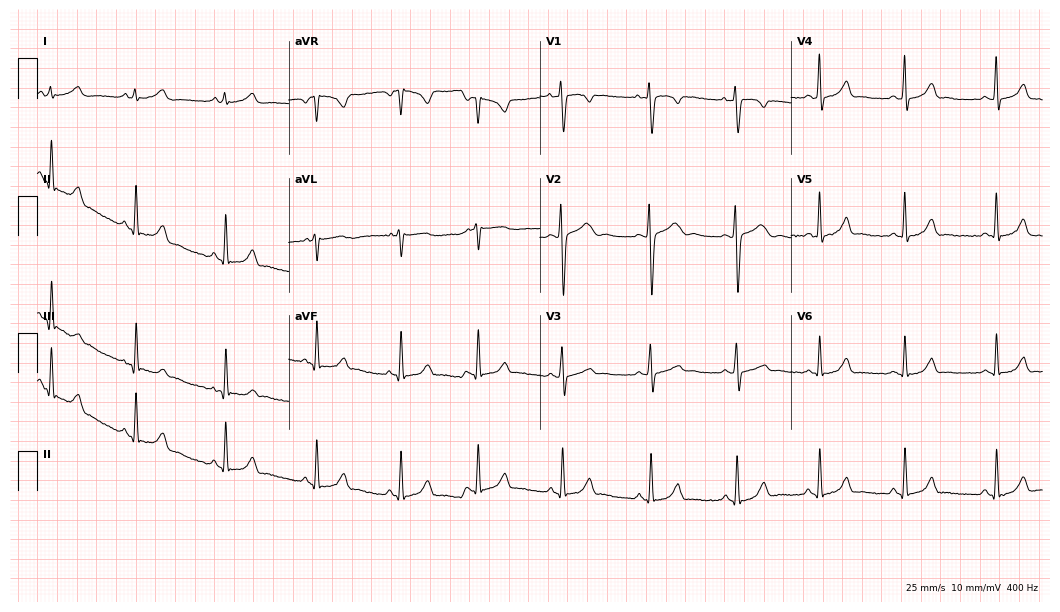
Standard 12-lead ECG recorded from a woman, 23 years old (10.2-second recording at 400 Hz). Read as a normal ECG.